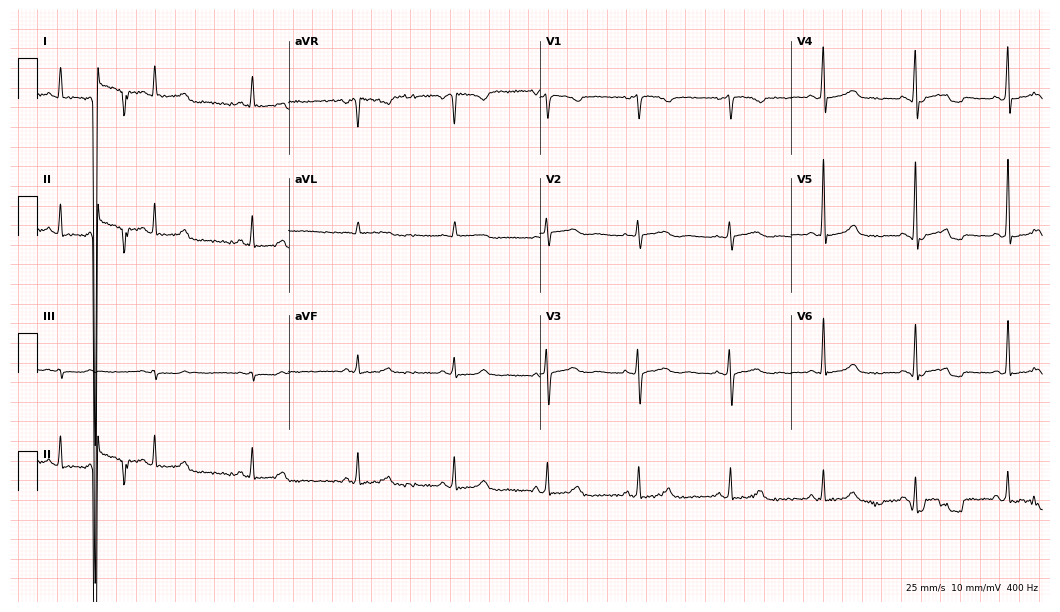
ECG — a female patient, 46 years old. Labelled as a normal ECG.